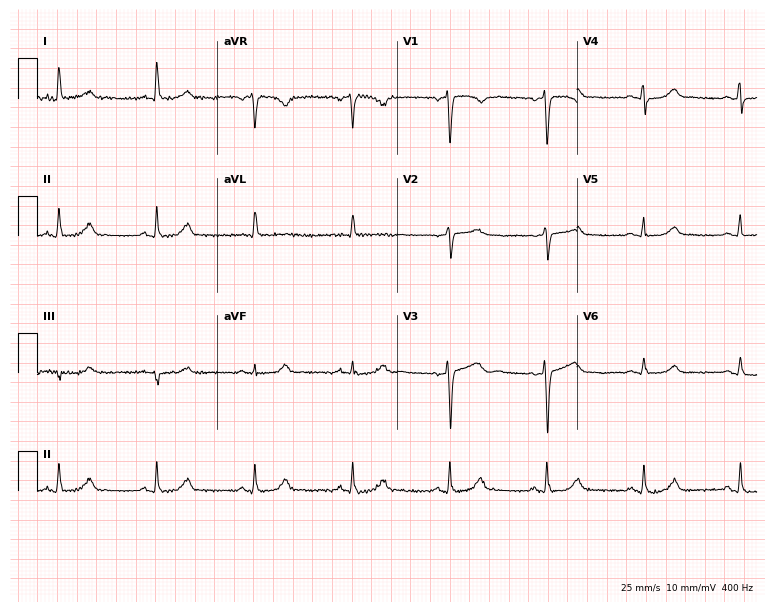
12-lead ECG from a female, 50 years old. Recorded interpretation: within normal limits.